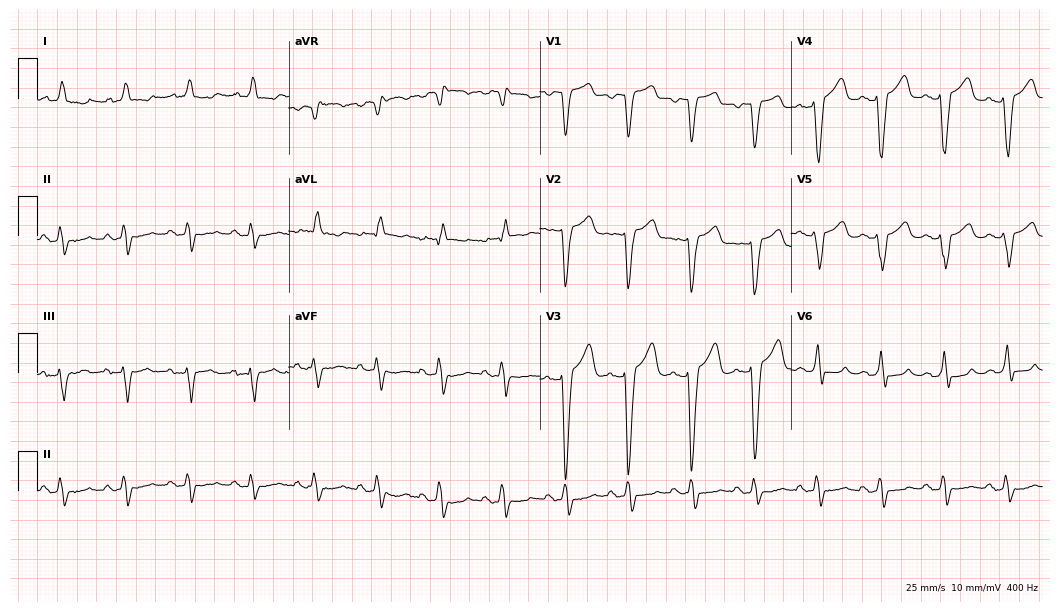
Standard 12-lead ECG recorded from a woman, 70 years old. The tracing shows left bundle branch block.